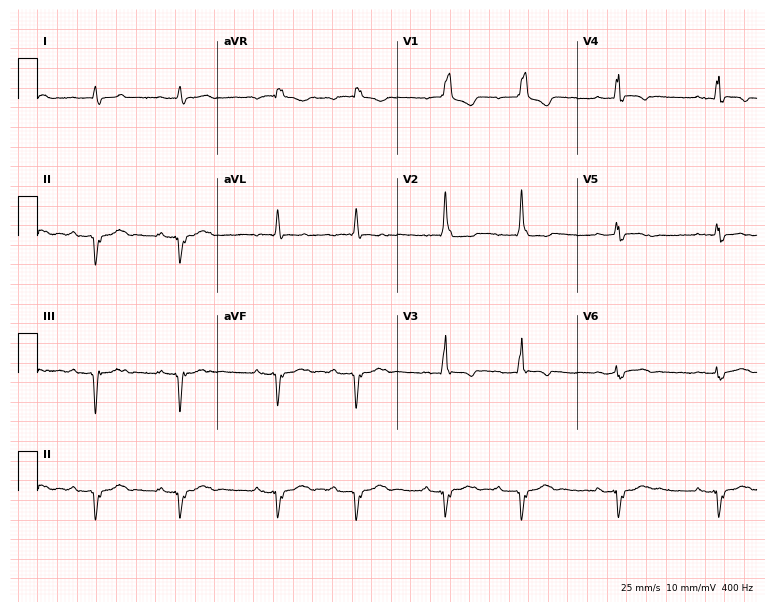
Standard 12-lead ECG recorded from a male, 80 years old (7.3-second recording at 400 Hz). The tracing shows right bundle branch block (RBBB).